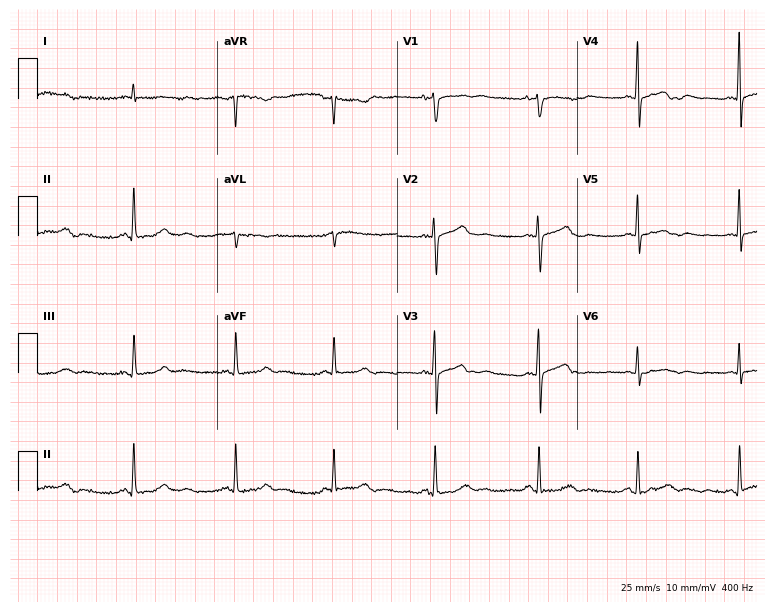
Standard 12-lead ECG recorded from a 66-year-old woman. Read as a normal ECG.